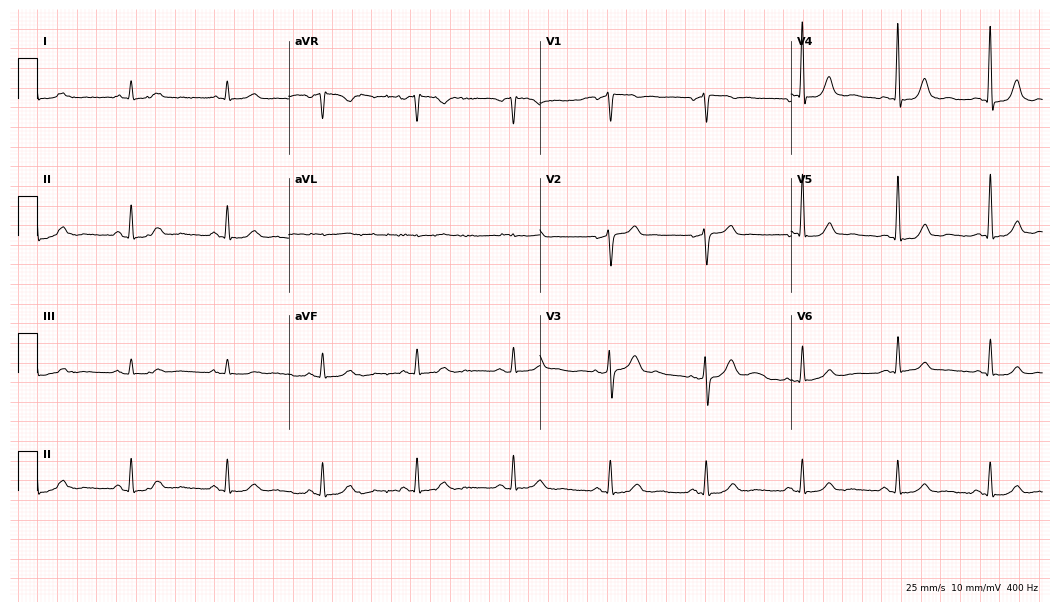
Standard 12-lead ECG recorded from a man, 64 years old. None of these six findings is recorded: first-degree AV block, right bundle branch block, left bundle branch block, sinus bradycardia, atrial fibrillation, sinus tachycardia.